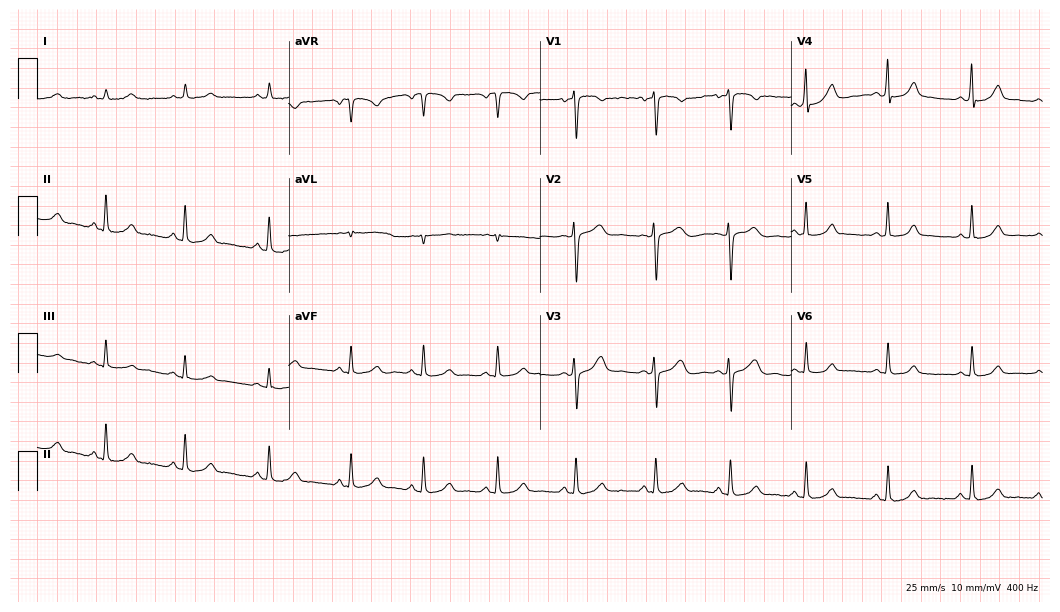
12-lead ECG (10.2-second recording at 400 Hz) from a female, 22 years old. Labelled as a normal ECG.